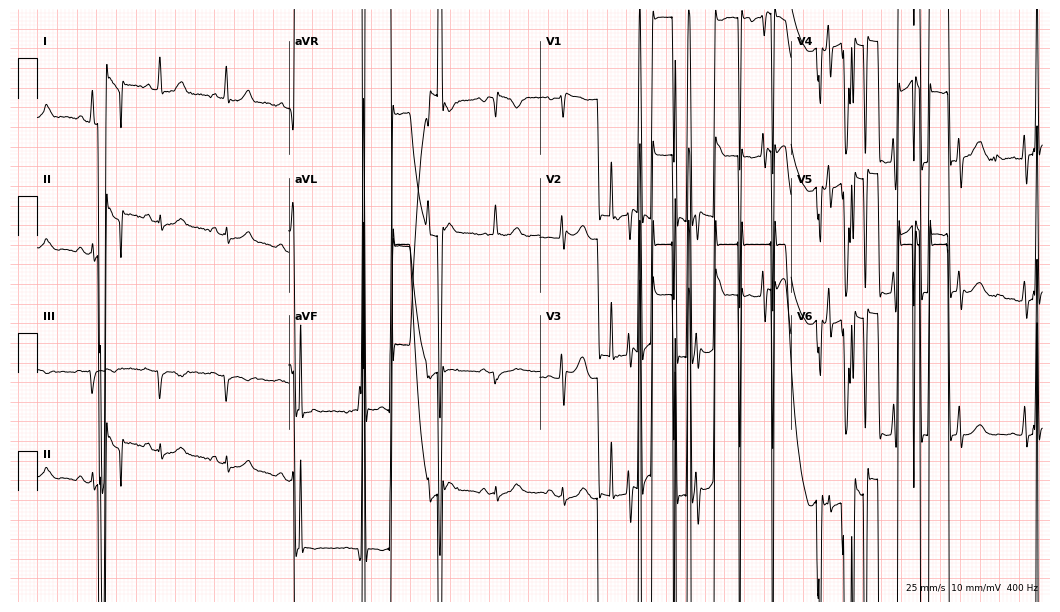
ECG (10.2-second recording at 400 Hz) — a male, 61 years old. Screened for six findings — first-degree AV block, right bundle branch block, left bundle branch block, sinus bradycardia, atrial fibrillation, sinus tachycardia — none is recorded.